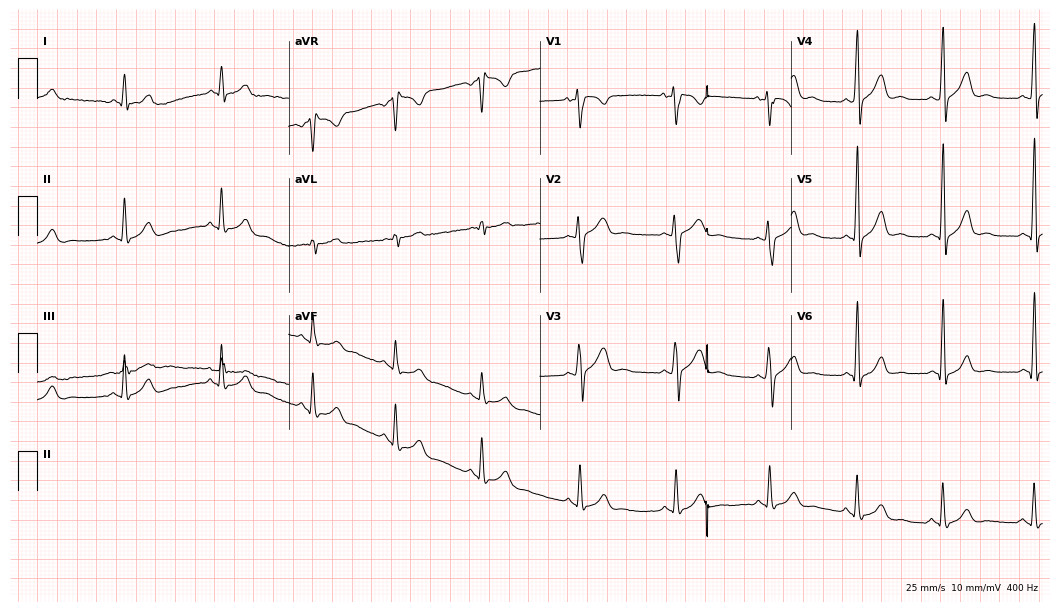
12-lead ECG from a man, 19 years old. Screened for six findings — first-degree AV block, right bundle branch block (RBBB), left bundle branch block (LBBB), sinus bradycardia, atrial fibrillation (AF), sinus tachycardia — none is recorded.